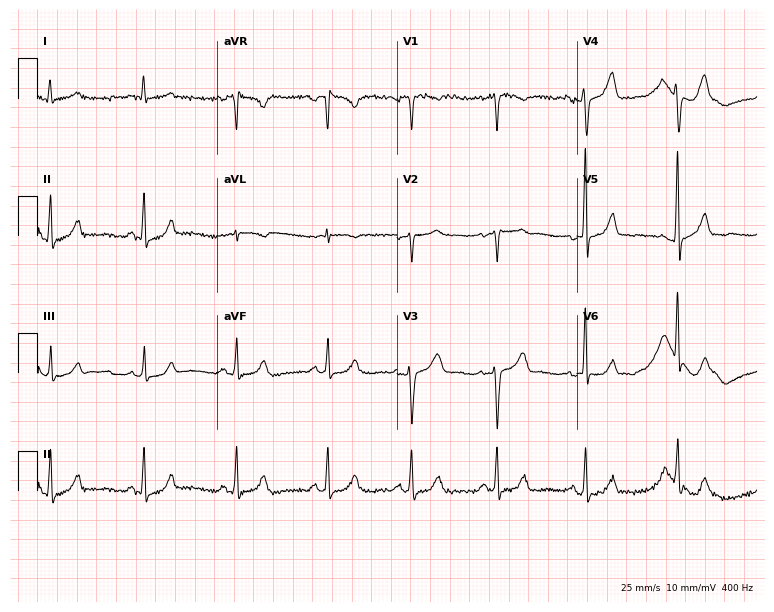
12-lead ECG (7.3-second recording at 400 Hz) from a 45-year-old female. Labelled as a normal ECG.